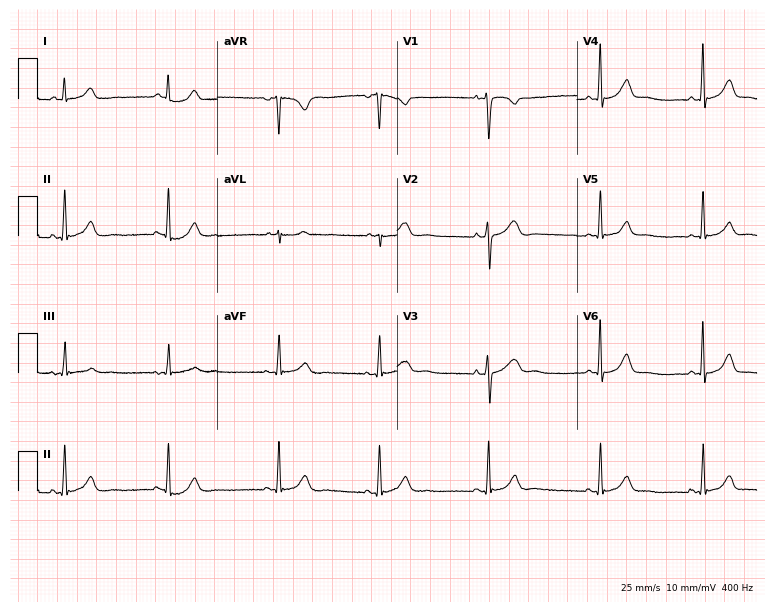
Electrocardiogram (7.3-second recording at 400 Hz), a woman, 28 years old. Overall reading on record: normal ECG.